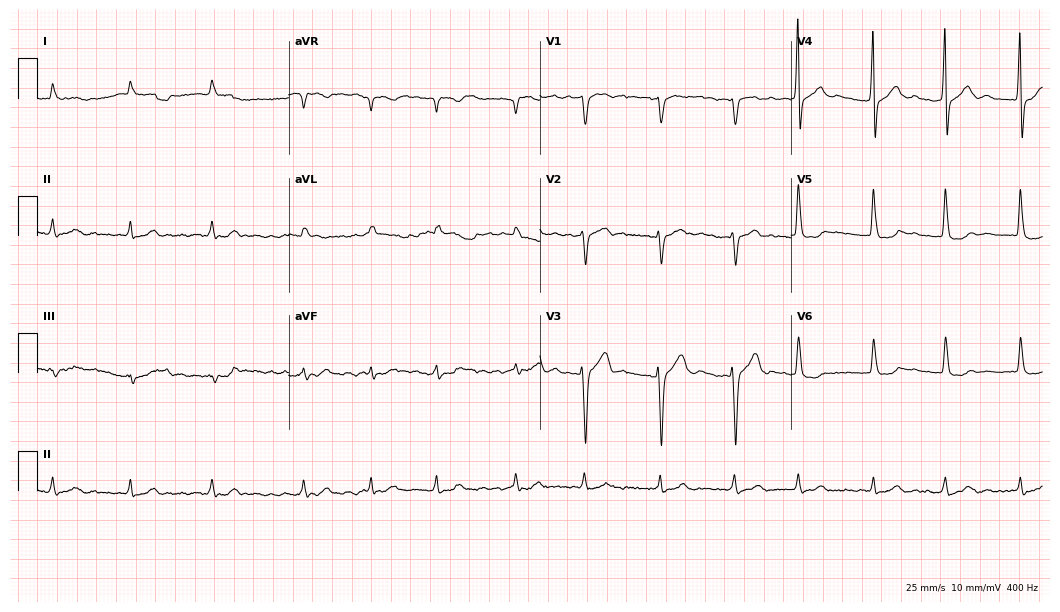
ECG — a male, 85 years old. Screened for six findings — first-degree AV block, right bundle branch block (RBBB), left bundle branch block (LBBB), sinus bradycardia, atrial fibrillation (AF), sinus tachycardia — none is recorded. Only these six findings were labelled.